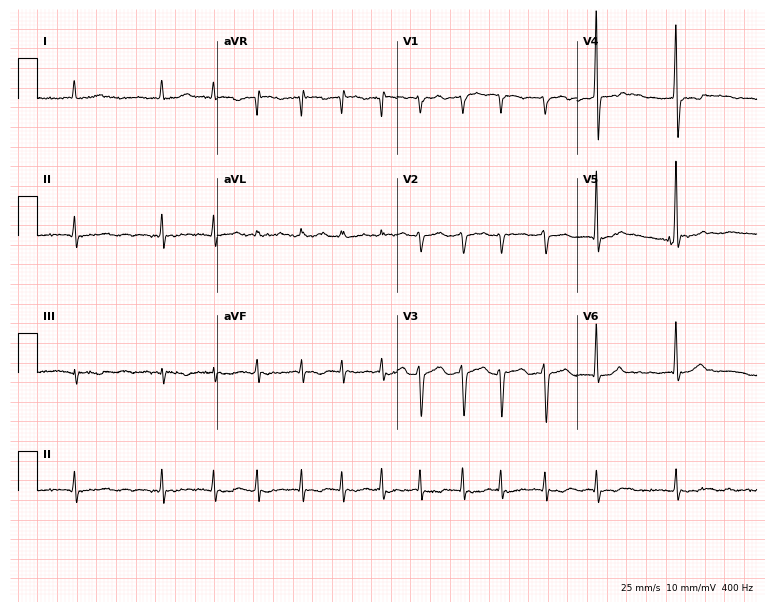
Electrocardiogram, a 77-year-old male patient. Interpretation includes atrial fibrillation.